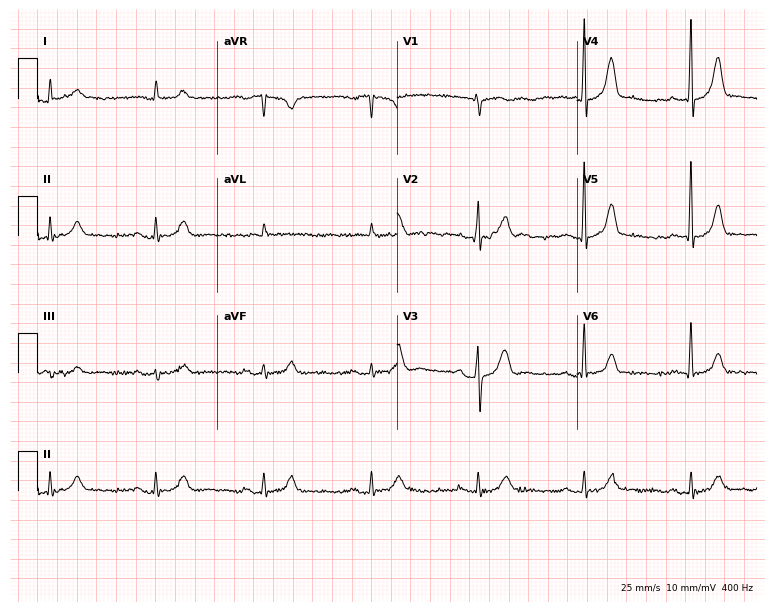
Standard 12-lead ECG recorded from a 60-year-old male (7.3-second recording at 400 Hz). None of these six findings is recorded: first-degree AV block, right bundle branch block, left bundle branch block, sinus bradycardia, atrial fibrillation, sinus tachycardia. Other findings, if any, are not listed.